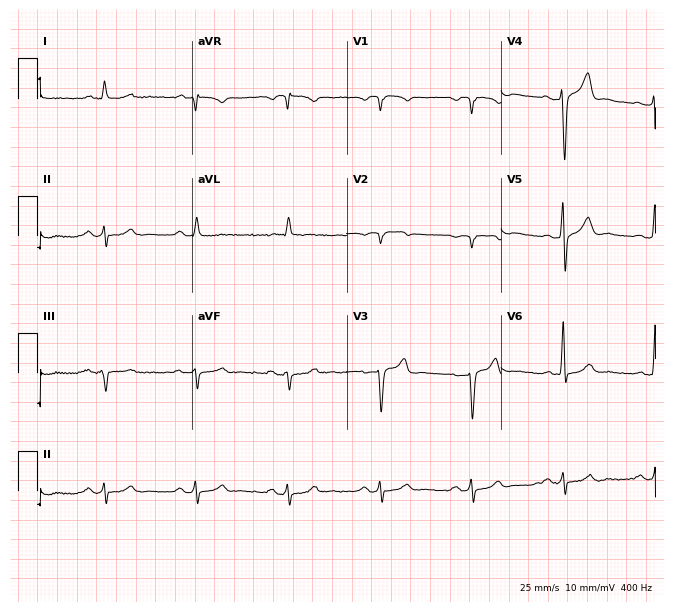
ECG — a male patient, 79 years old. Screened for six findings — first-degree AV block, right bundle branch block, left bundle branch block, sinus bradycardia, atrial fibrillation, sinus tachycardia — none is recorded.